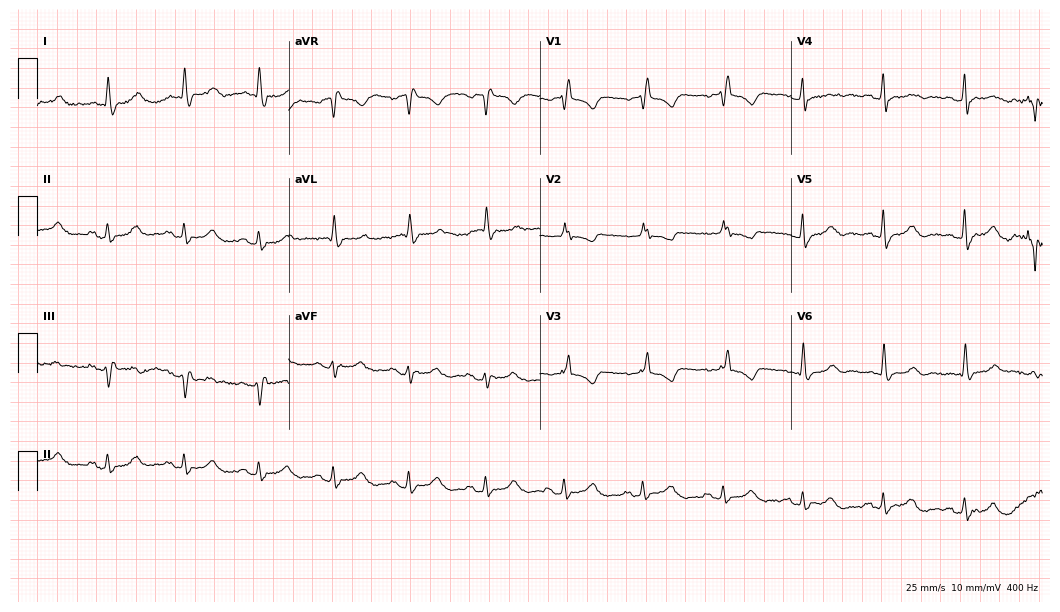
12-lead ECG (10.2-second recording at 400 Hz) from a female patient, 75 years old. Findings include right bundle branch block.